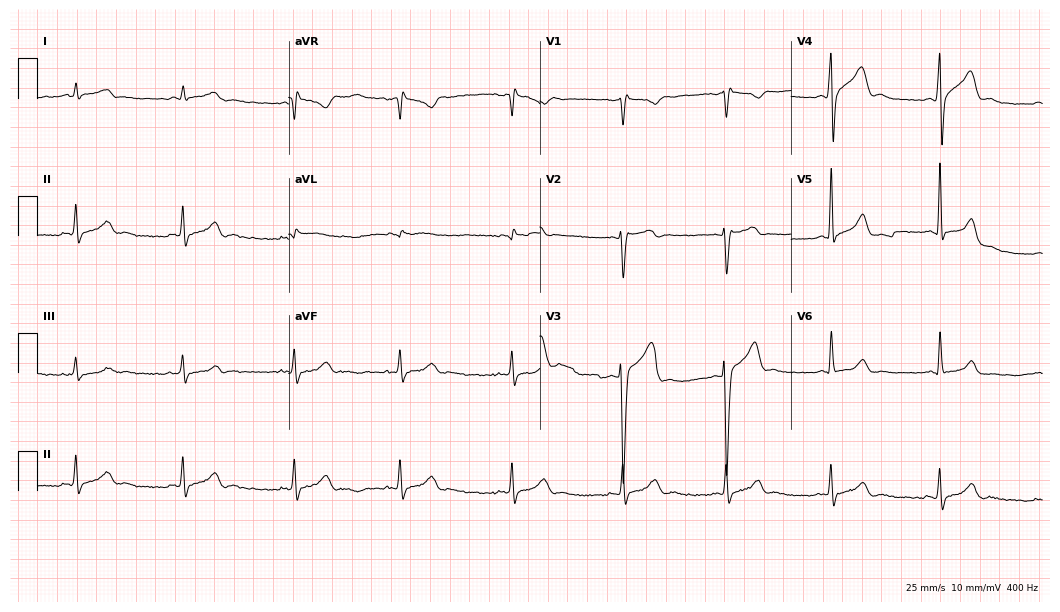
12-lead ECG from a 32-year-old male patient (10.2-second recording at 400 Hz). No first-degree AV block, right bundle branch block, left bundle branch block, sinus bradycardia, atrial fibrillation or sinus tachycardia recorded for this tracing.